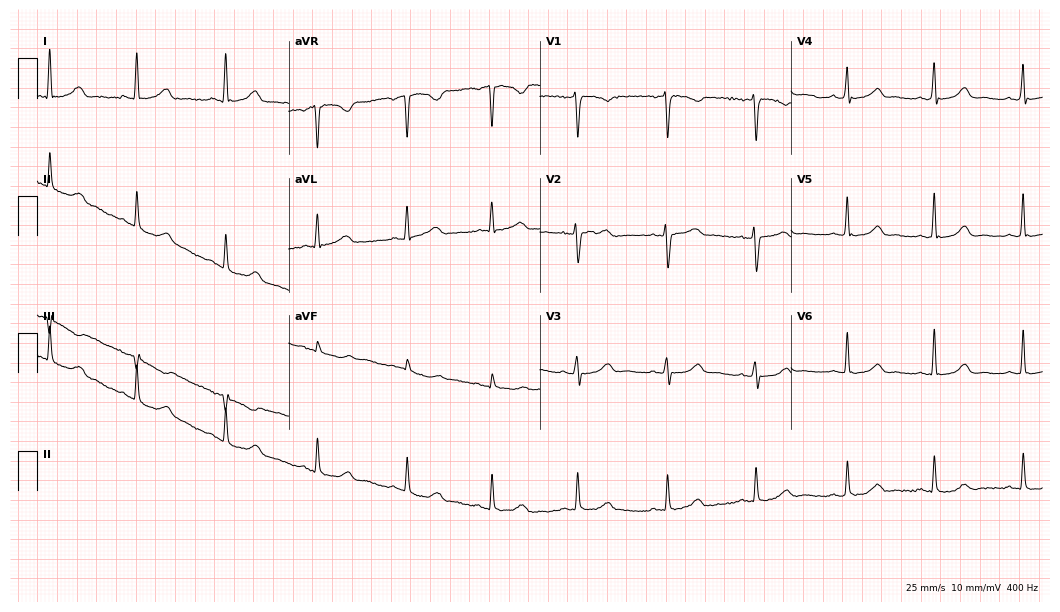
ECG — a 55-year-old woman. Labelled as a normal ECG.